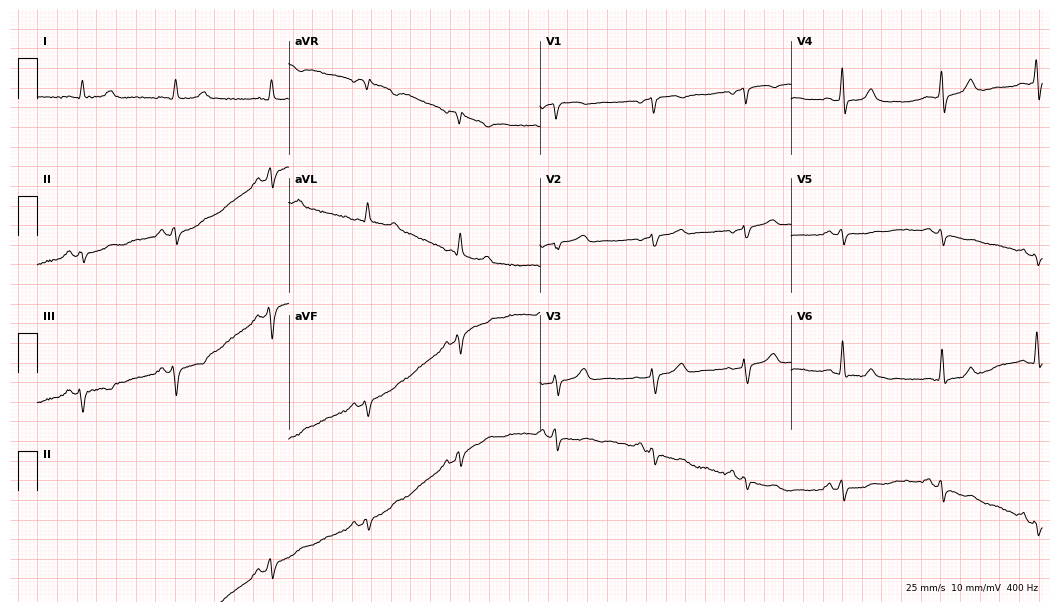
Standard 12-lead ECG recorded from a female, 77 years old (10.2-second recording at 400 Hz). None of these six findings is recorded: first-degree AV block, right bundle branch block, left bundle branch block, sinus bradycardia, atrial fibrillation, sinus tachycardia. Only these six findings were labelled.